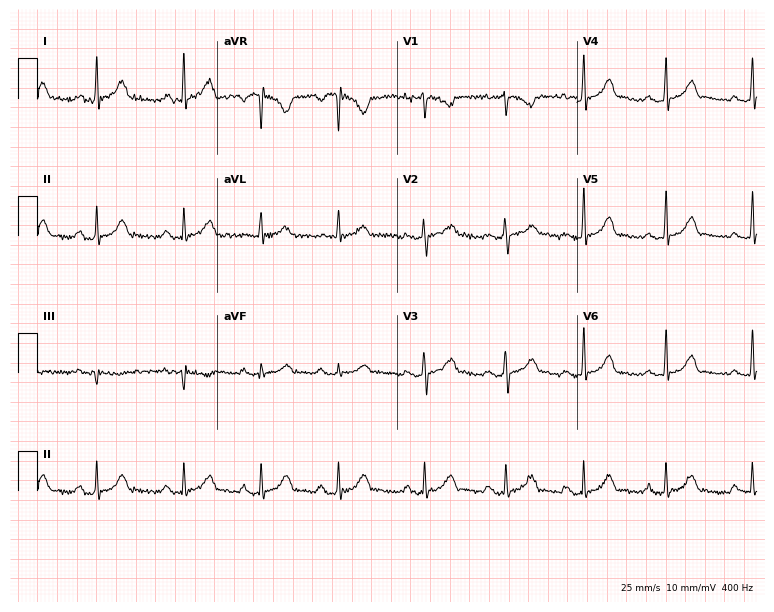
Standard 12-lead ECG recorded from a 27-year-old man. Read as a normal ECG.